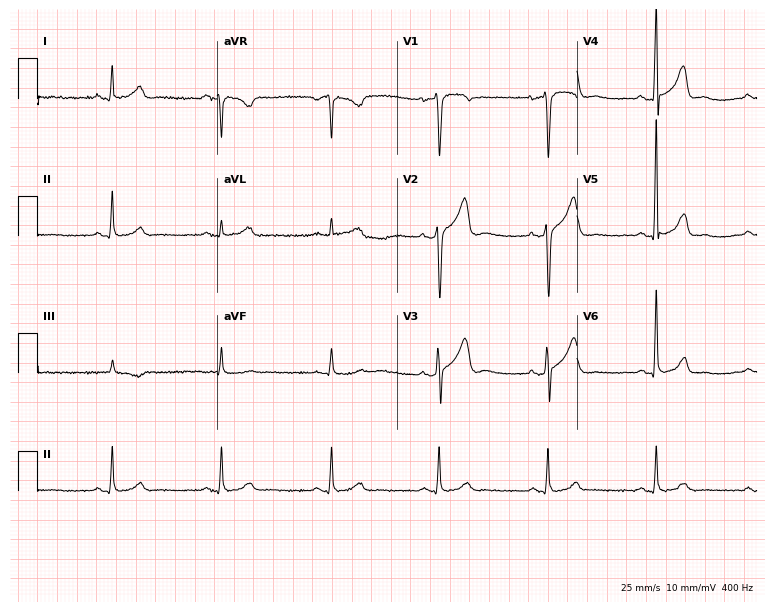
Standard 12-lead ECG recorded from a 47-year-old male patient (7.3-second recording at 400 Hz). Read as a normal ECG.